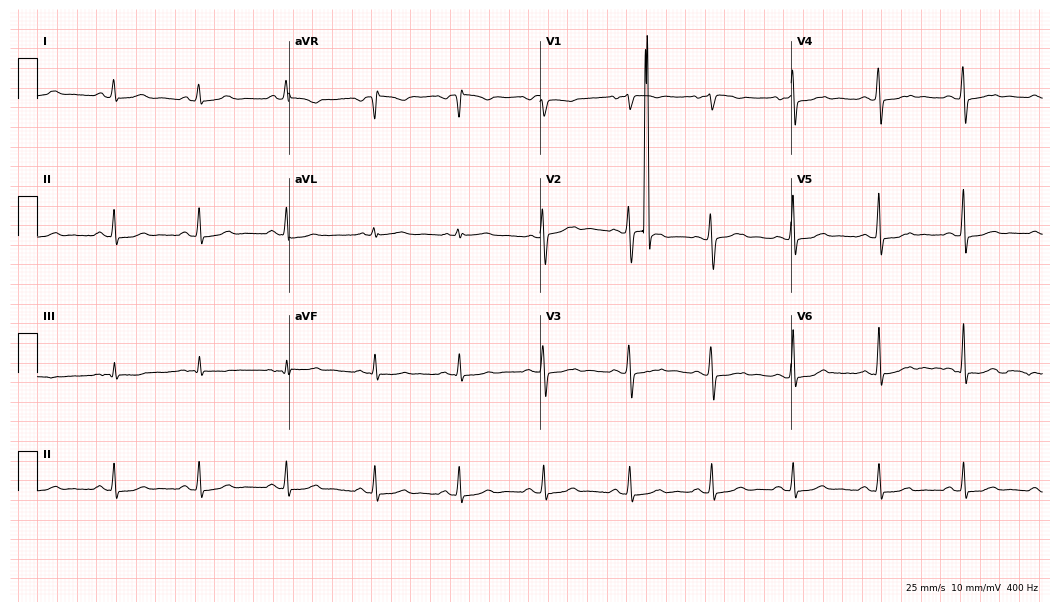
ECG — a 34-year-old female patient. Labelled as a normal ECG.